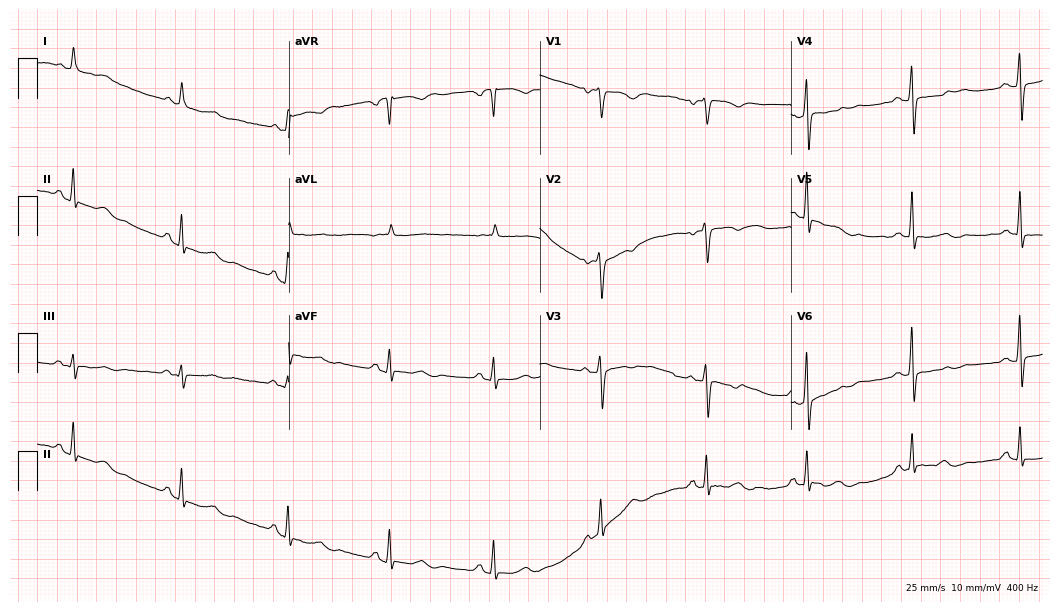
Electrocardiogram (10.2-second recording at 400 Hz), a 66-year-old female patient. Of the six screened findings (first-degree AV block, right bundle branch block, left bundle branch block, sinus bradycardia, atrial fibrillation, sinus tachycardia), none is recorded. Only these six findings were labelled.